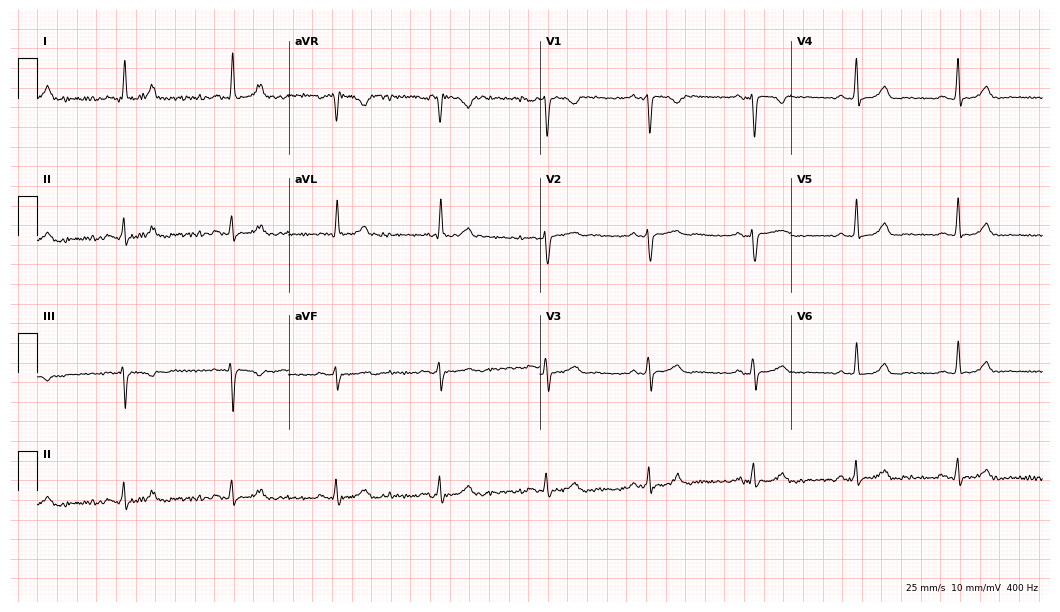
12-lead ECG from a woman, 41 years old. Labelled as a normal ECG.